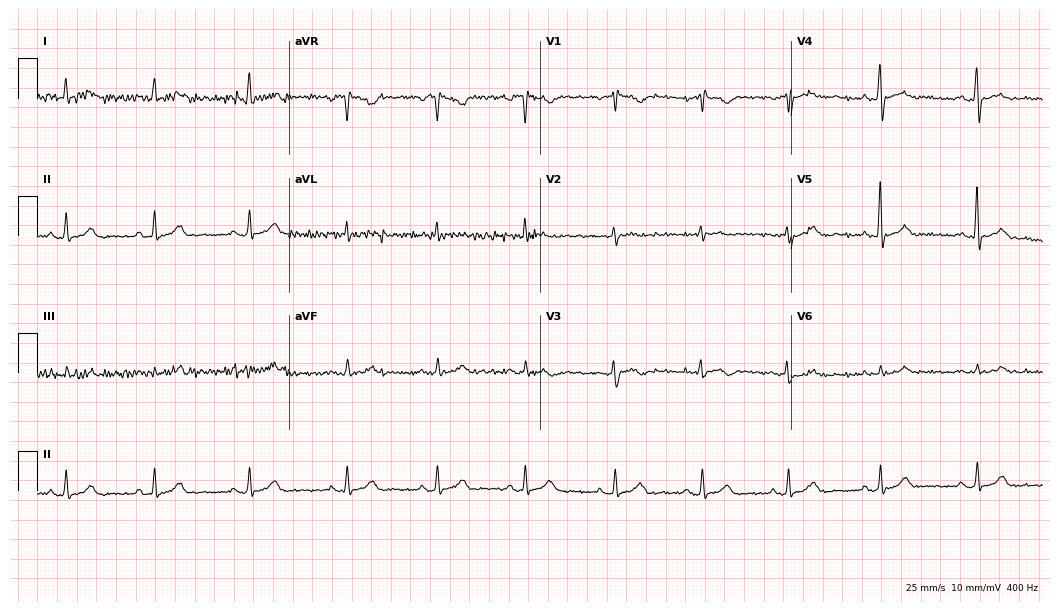
Electrocardiogram (10.2-second recording at 400 Hz), a 46-year-old female patient. Overall reading on record: normal ECG.